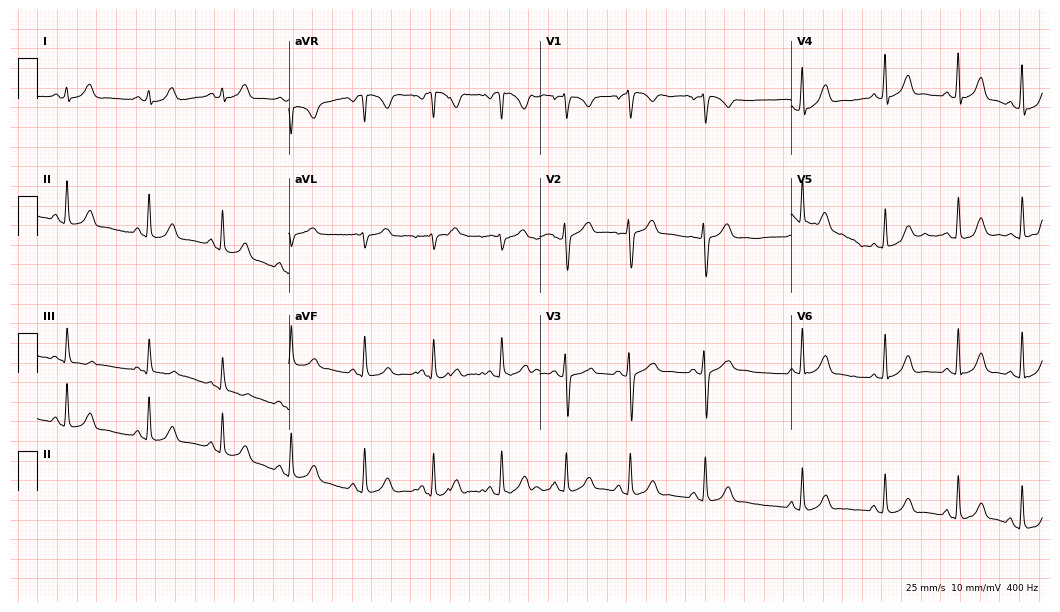
Standard 12-lead ECG recorded from a 26-year-old female patient (10.2-second recording at 400 Hz). None of these six findings is recorded: first-degree AV block, right bundle branch block (RBBB), left bundle branch block (LBBB), sinus bradycardia, atrial fibrillation (AF), sinus tachycardia.